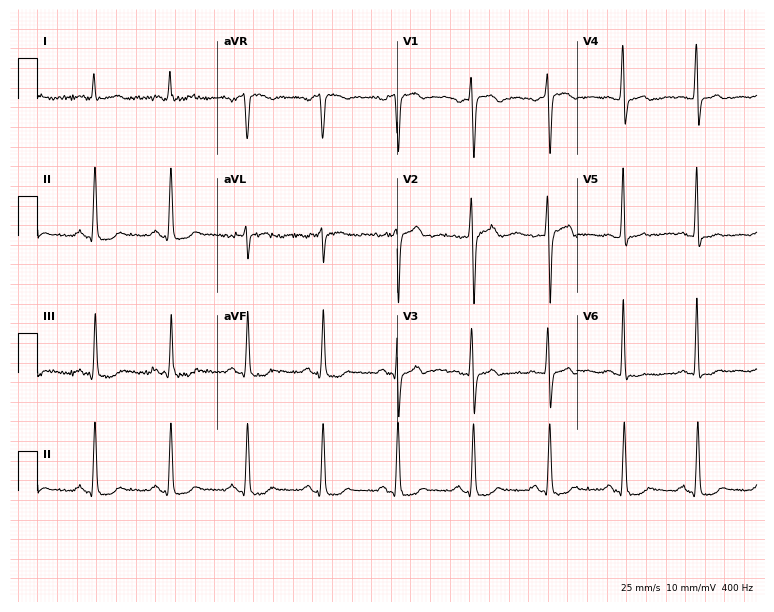
12-lead ECG from a 52-year-old female. No first-degree AV block, right bundle branch block, left bundle branch block, sinus bradycardia, atrial fibrillation or sinus tachycardia recorded for this tracing. Findings outside these six are not listed.